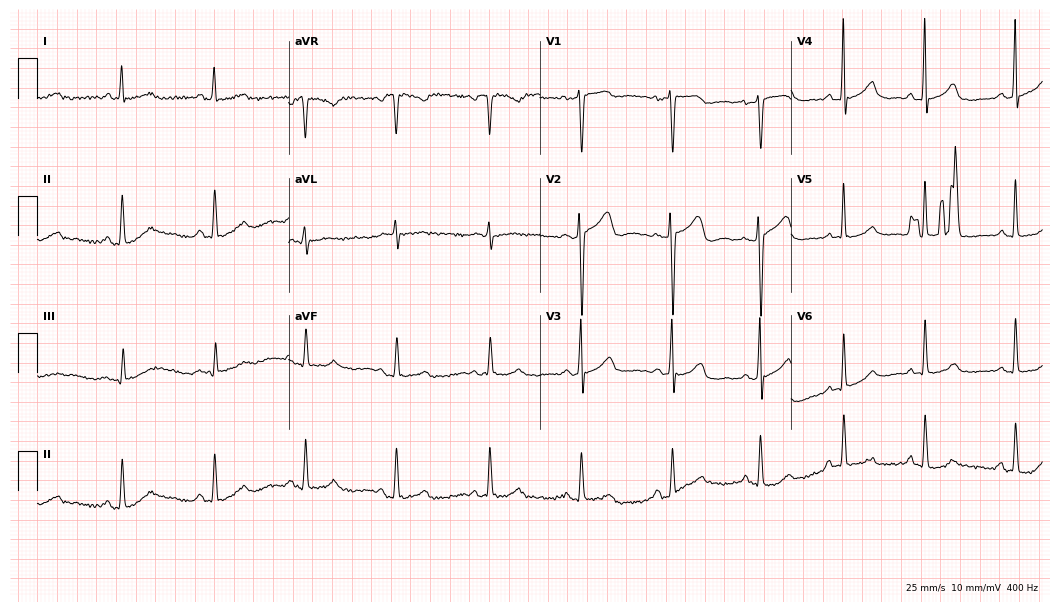
Resting 12-lead electrocardiogram. Patient: a female, 52 years old. None of these six findings is recorded: first-degree AV block, right bundle branch block, left bundle branch block, sinus bradycardia, atrial fibrillation, sinus tachycardia.